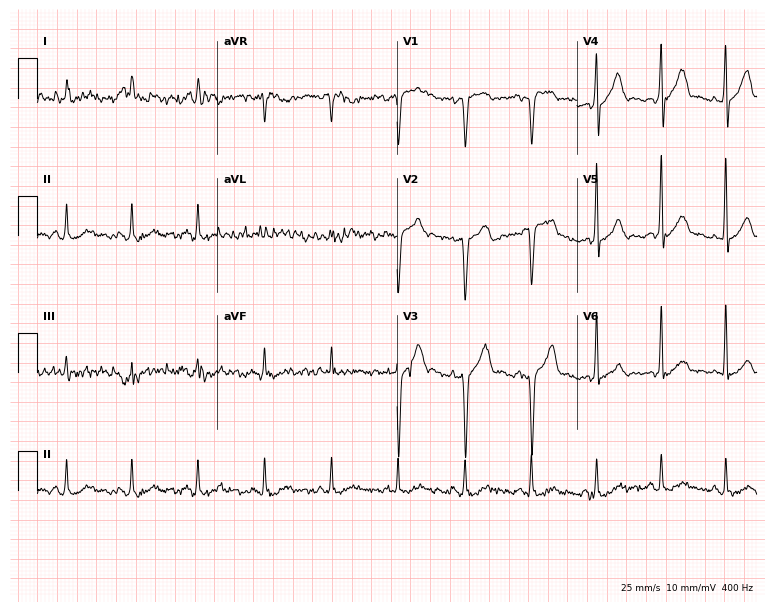
ECG — a male, 60 years old. Screened for six findings — first-degree AV block, right bundle branch block, left bundle branch block, sinus bradycardia, atrial fibrillation, sinus tachycardia — none is recorded.